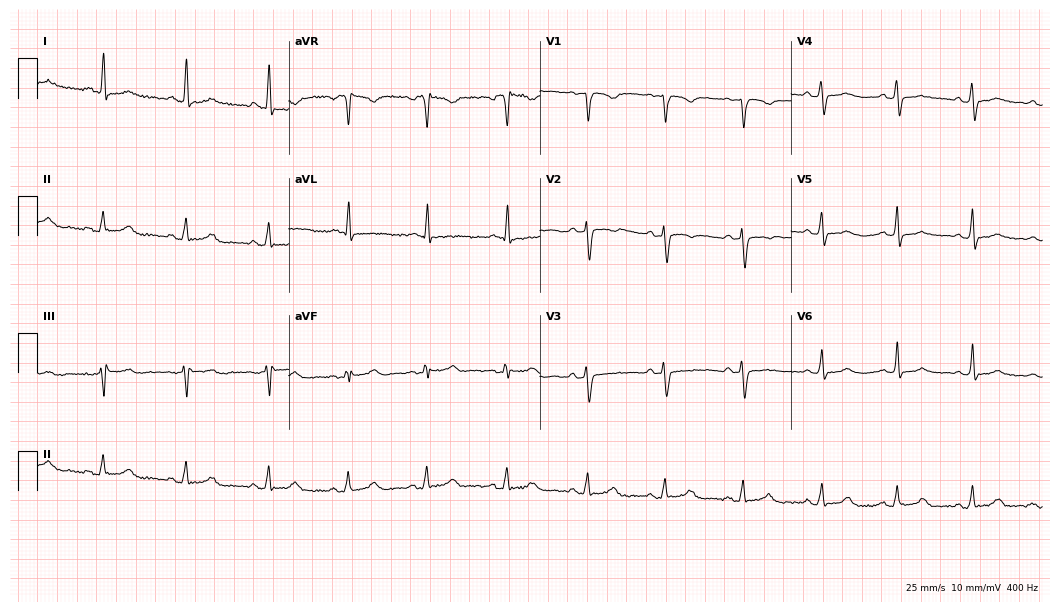
Electrocardiogram, a female, 42 years old. Of the six screened findings (first-degree AV block, right bundle branch block (RBBB), left bundle branch block (LBBB), sinus bradycardia, atrial fibrillation (AF), sinus tachycardia), none is recorded.